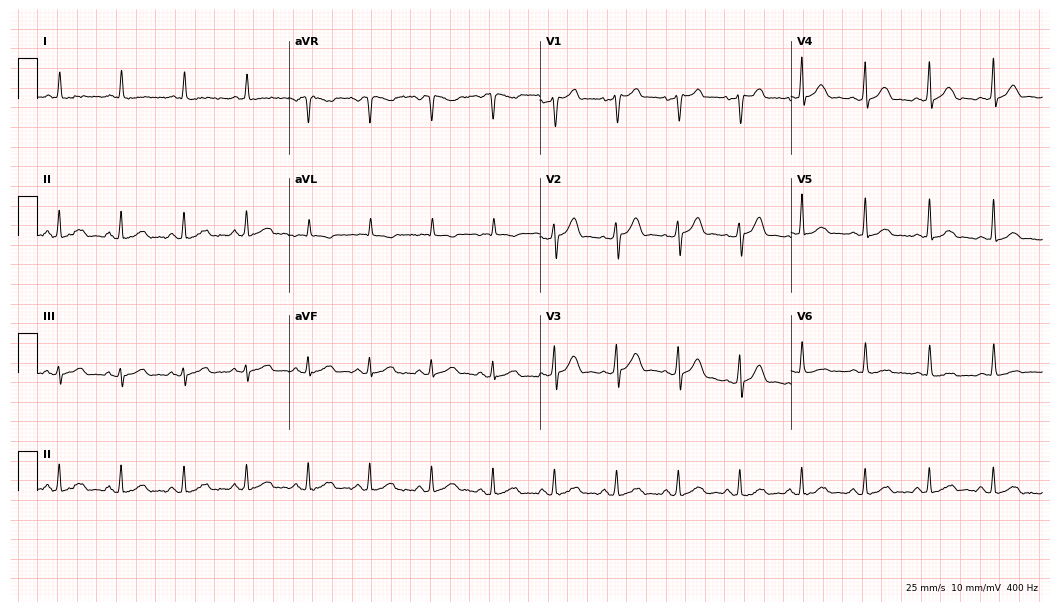
ECG — a man, 48 years old. Labelled as a normal ECG.